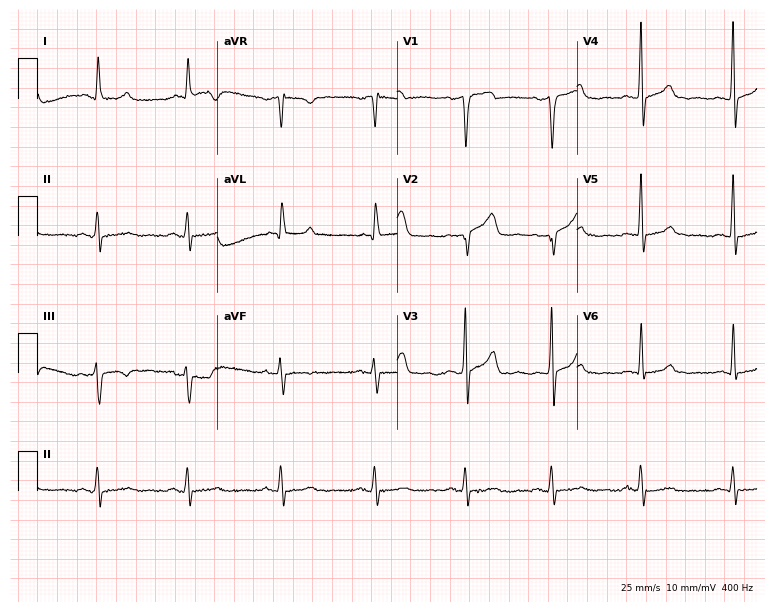
Electrocardiogram, a male patient, 60 years old. Overall reading on record: normal ECG.